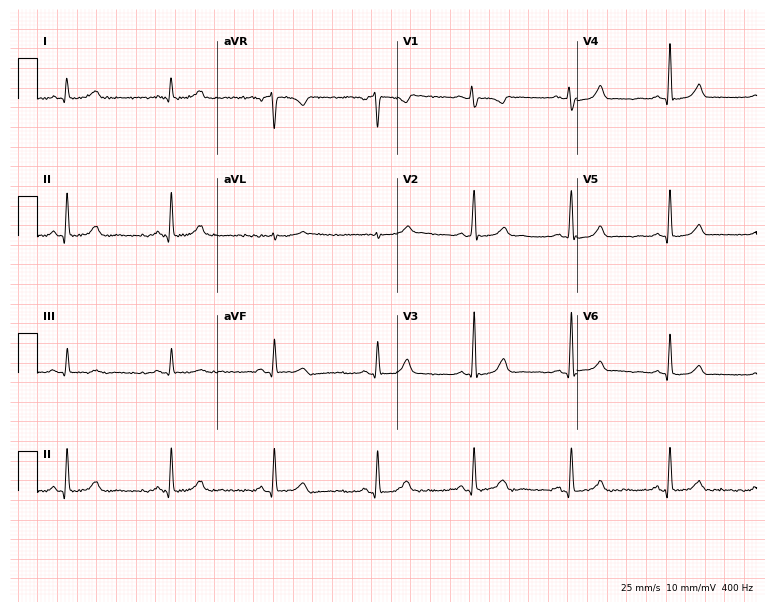
ECG (7.3-second recording at 400 Hz) — a woman, 40 years old. Screened for six findings — first-degree AV block, right bundle branch block, left bundle branch block, sinus bradycardia, atrial fibrillation, sinus tachycardia — none is recorded.